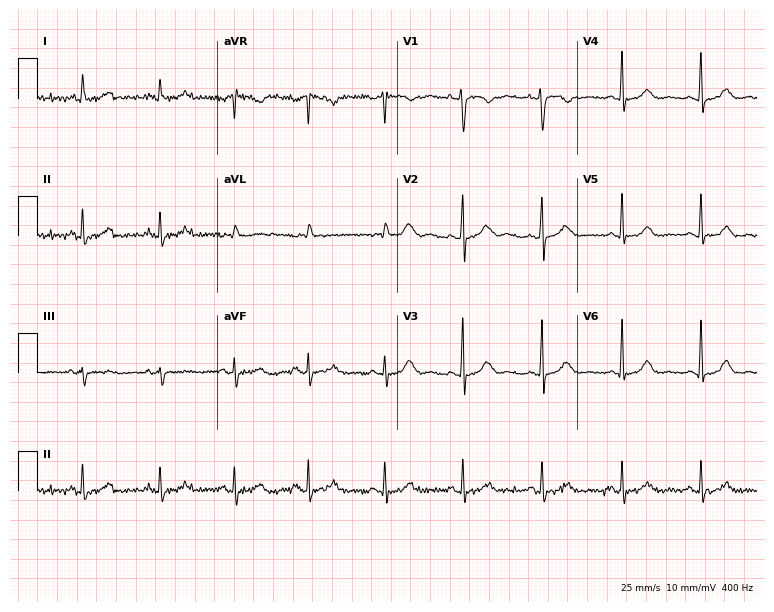
Resting 12-lead electrocardiogram (7.3-second recording at 400 Hz). Patient: a female, 39 years old. None of these six findings is recorded: first-degree AV block, right bundle branch block (RBBB), left bundle branch block (LBBB), sinus bradycardia, atrial fibrillation (AF), sinus tachycardia.